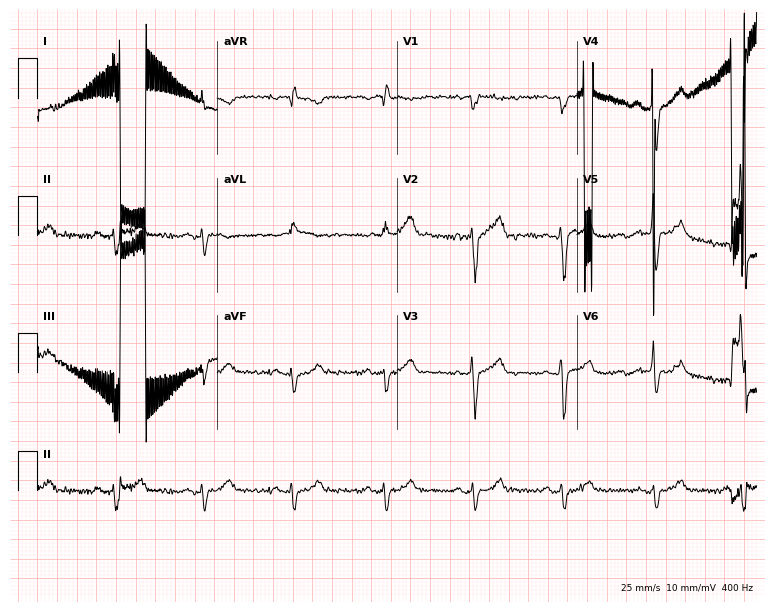
ECG — a male, 44 years old. Screened for six findings — first-degree AV block, right bundle branch block, left bundle branch block, sinus bradycardia, atrial fibrillation, sinus tachycardia — none is recorded.